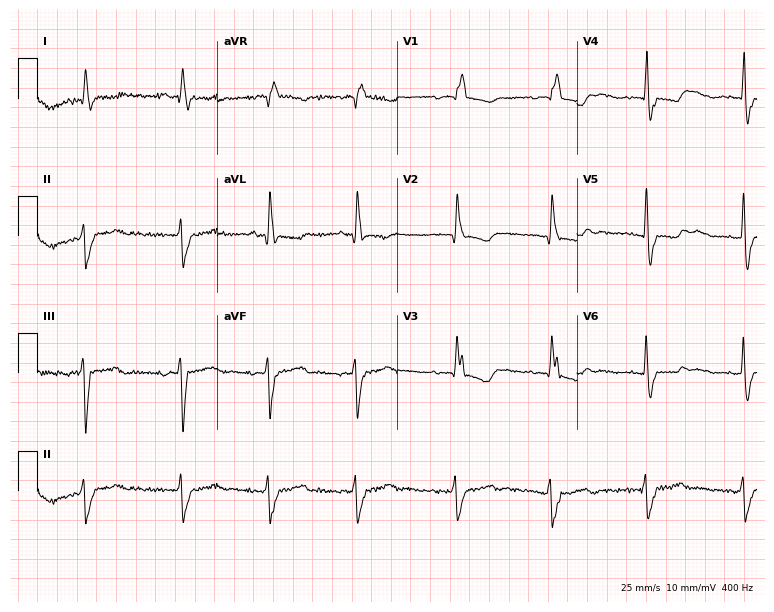
12-lead ECG (7.3-second recording at 400 Hz) from a 74-year-old female patient. Findings include right bundle branch block (RBBB).